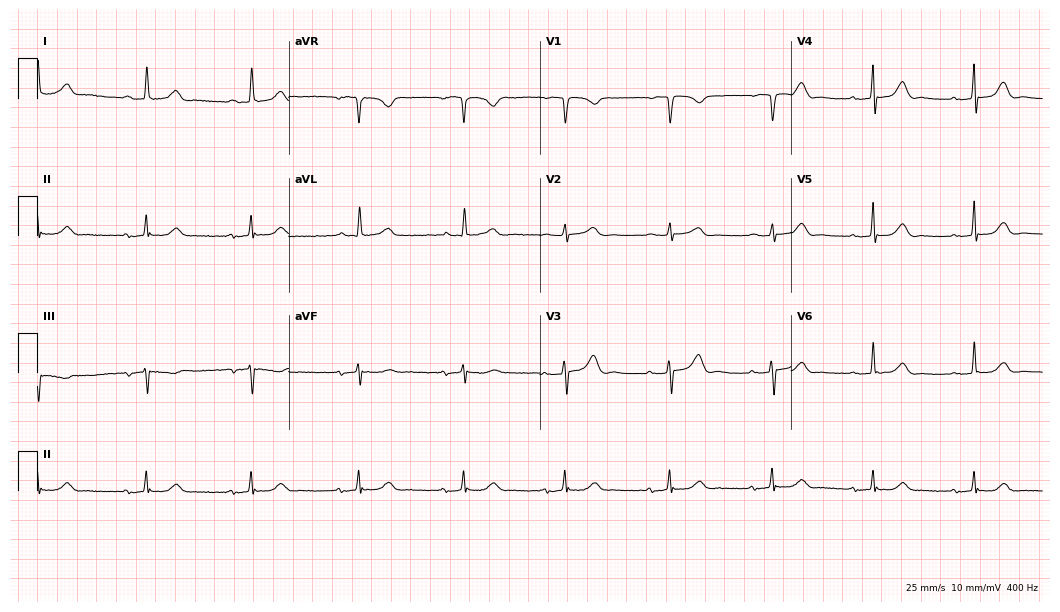
Standard 12-lead ECG recorded from an 81-year-old female patient (10.2-second recording at 400 Hz). Read as a normal ECG.